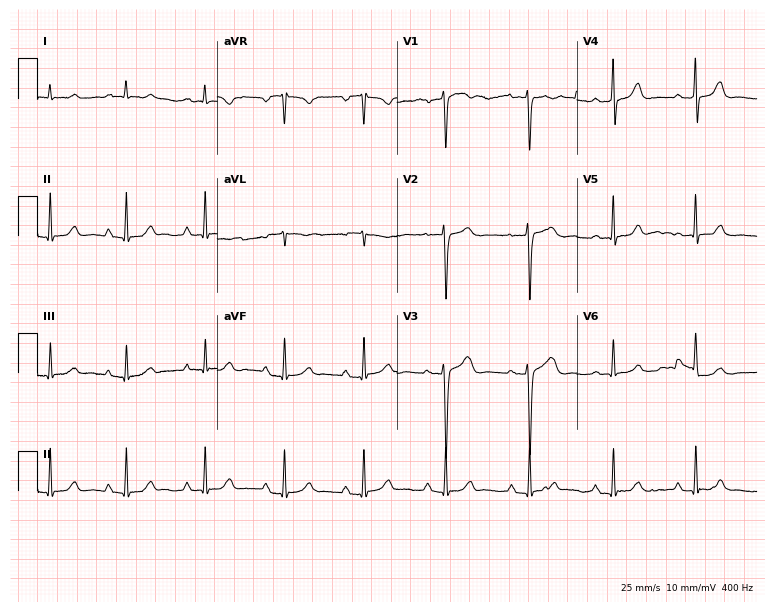
12-lead ECG from a female, 58 years old. Labelled as a normal ECG.